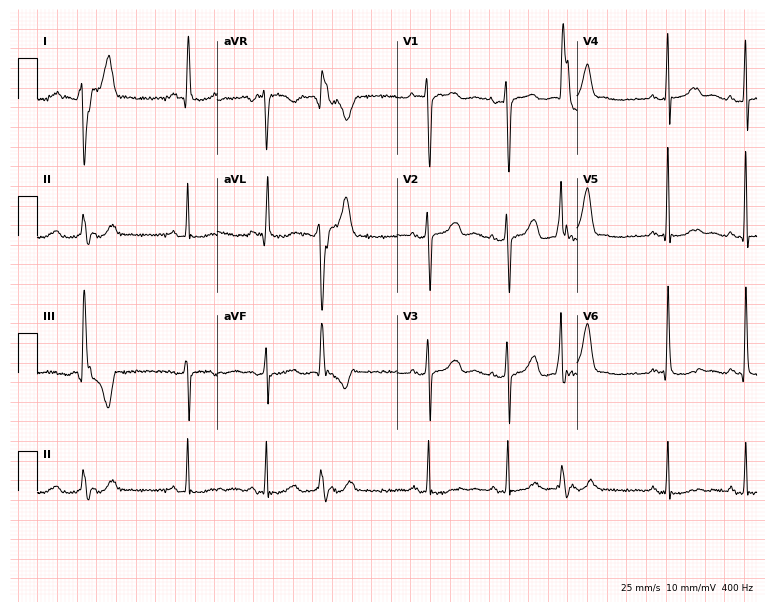
12-lead ECG (7.3-second recording at 400 Hz) from a female patient, 57 years old. Screened for six findings — first-degree AV block, right bundle branch block (RBBB), left bundle branch block (LBBB), sinus bradycardia, atrial fibrillation (AF), sinus tachycardia — none is recorded. Only these six findings were labelled.